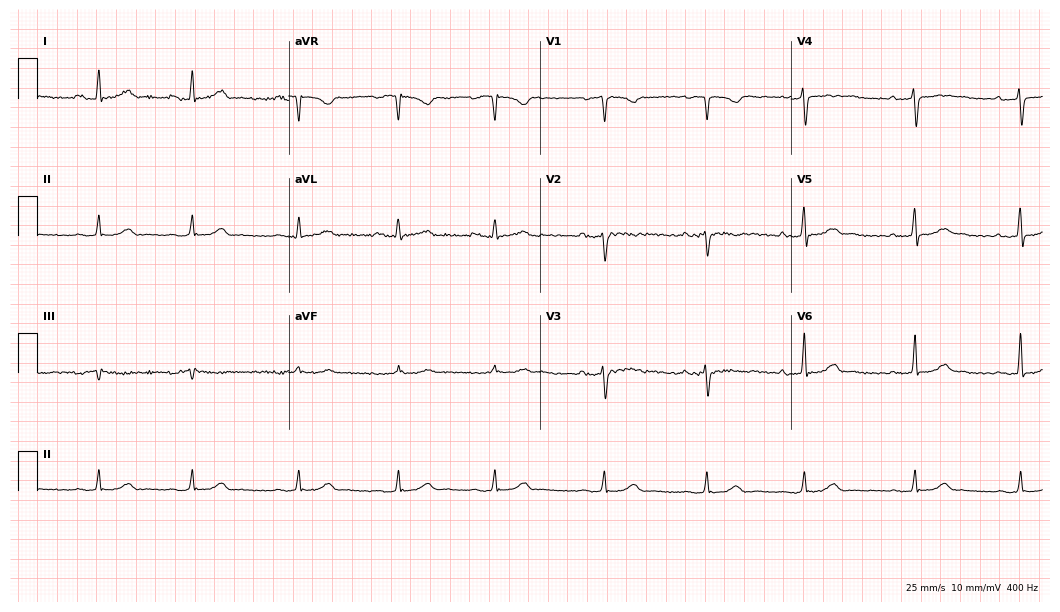
12-lead ECG from a 42-year-old female (10.2-second recording at 400 Hz). No first-degree AV block, right bundle branch block, left bundle branch block, sinus bradycardia, atrial fibrillation or sinus tachycardia recorded for this tracing. Other findings, if any, are not listed.